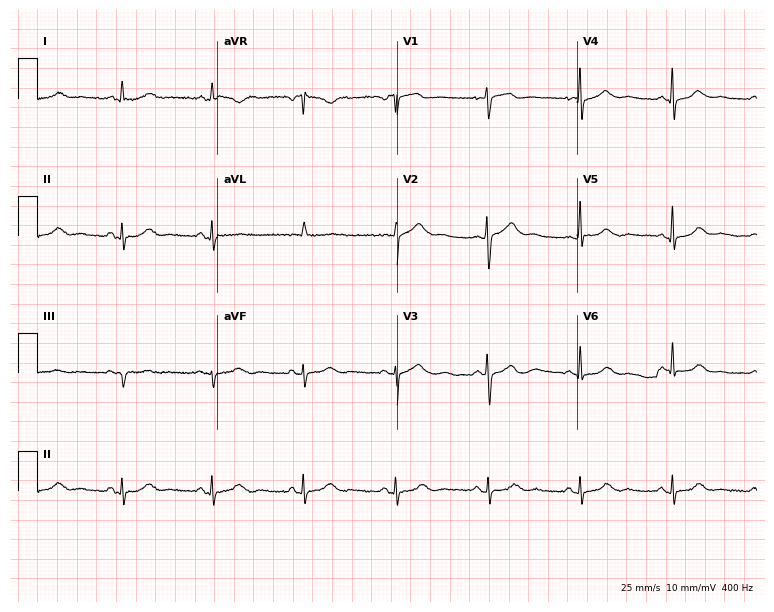
12-lead ECG from a 67-year-old female patient (7.3-second recording at 400 Hz). Recorded interpretation: within normal limits.